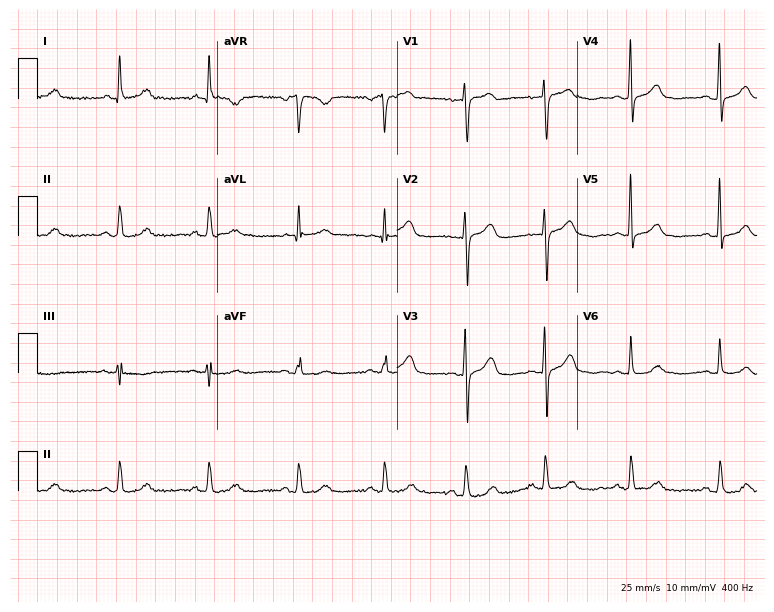
12-lead ECG (7.3-second recording at 400 Hz) from a woman, 58 years old. Labelled as a normal ECG.